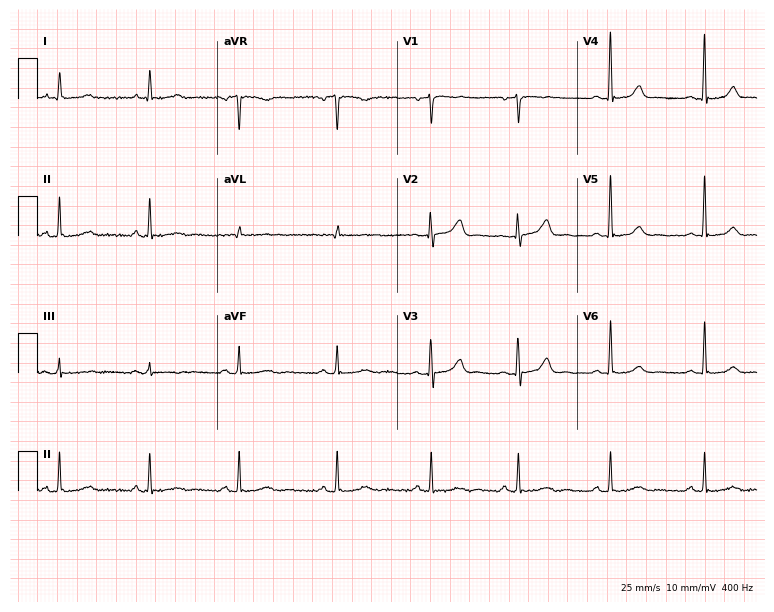
Standard 12-lead ECG recorded from a 75-year-old female. None of these six findings is recorded: first-degree AV block, right bundle branch block, left bundle branch block, sinus bradycardia, atrial fibrillation, sinus tachycardia. Other findings, if any, are not listed.